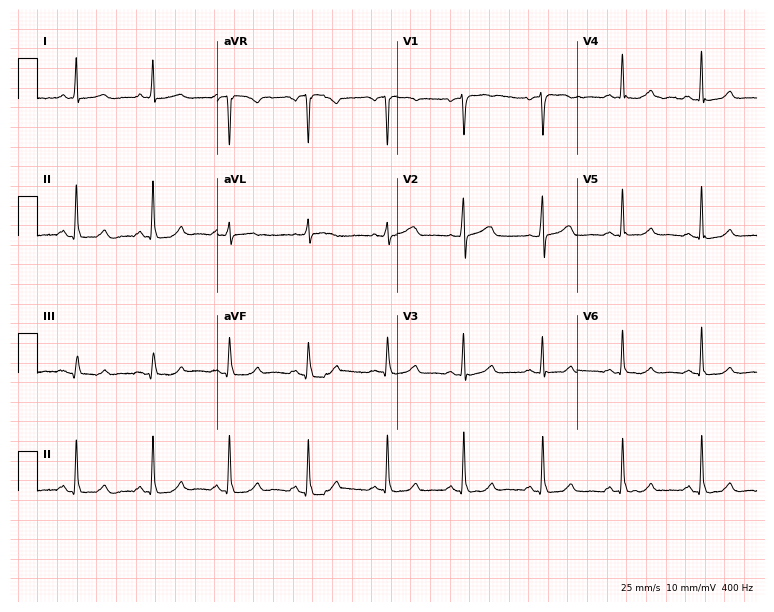
Standard 12-lead ECG recorded from a 57-year-old woman (7.3-second recording at 400 Hz). Read as a normal ECG.